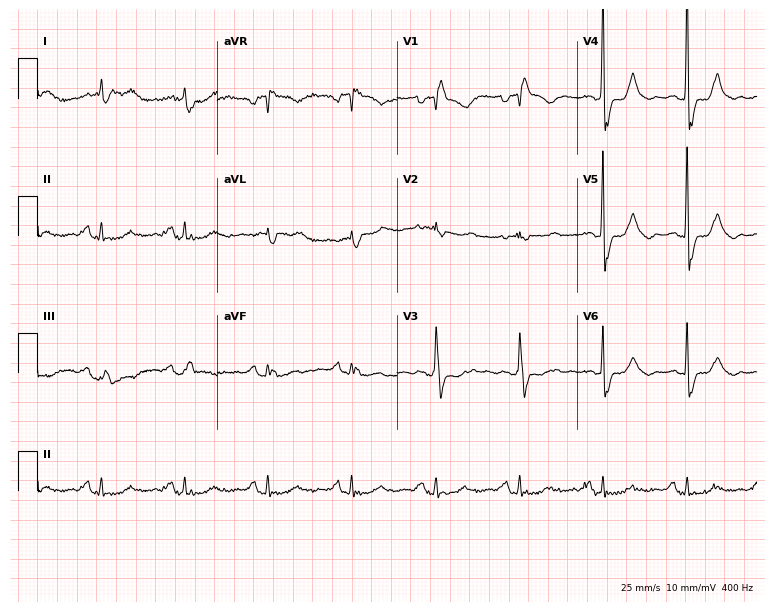
12-lead ECG from a female patient, 73 years old (7.3-second recording at 400 Hz). Shows right bundle branch block.